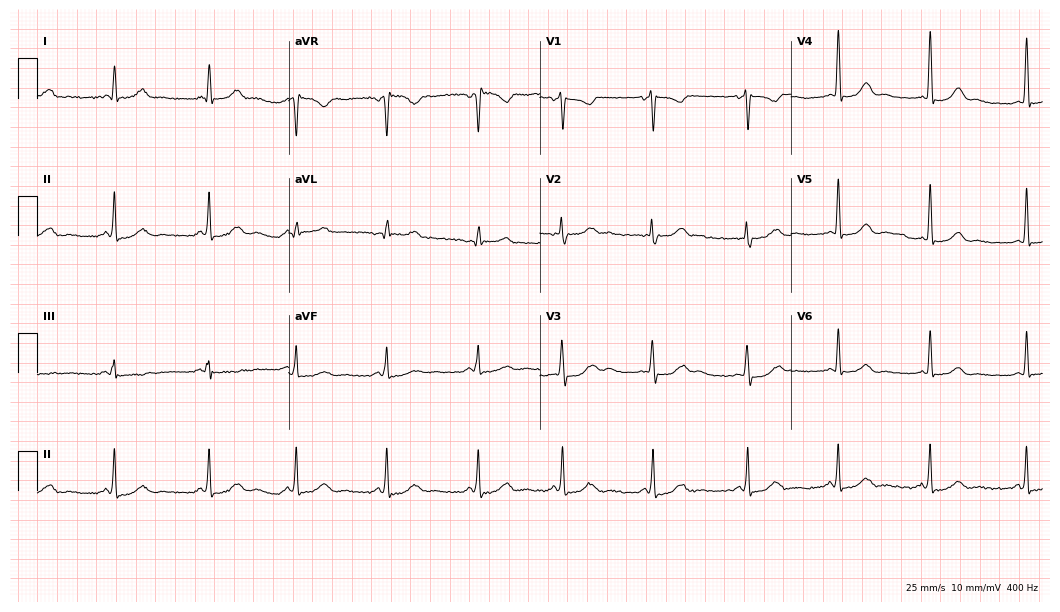
Standard 12-lead ECG recorded from a 44-year-old female patient. Read as a normal ECG.